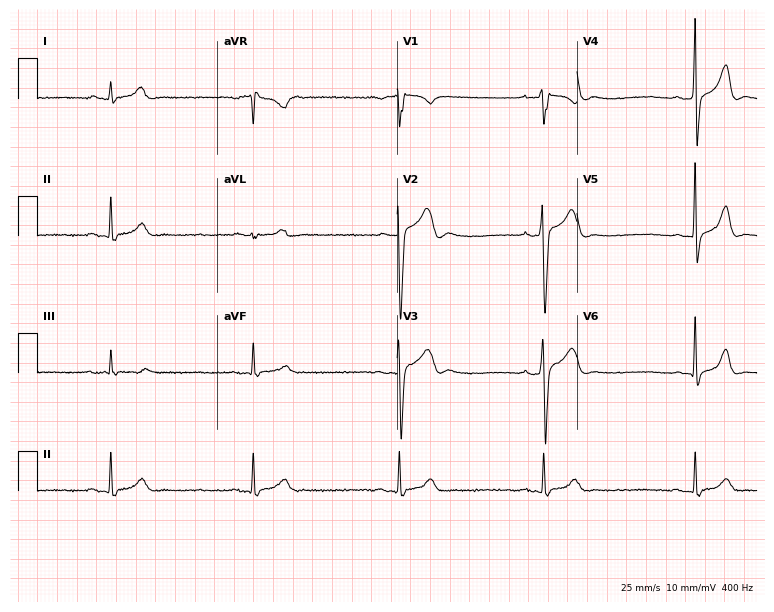
Resting 12-lead electrocardiogram. Patient: a 28-year-old female. The tracing shows first-degree AV block, sinus bradycardia (a sinus rate of 50 beats per minute or less).